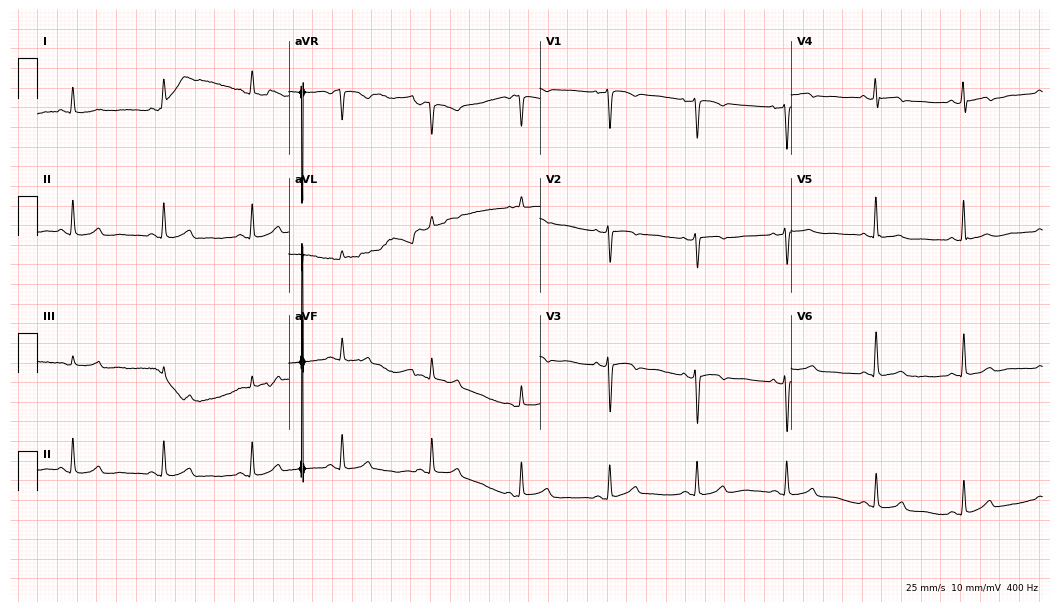
Electrocardiogram, a woman, 60 years old. Of the six screened findings (first-degree AV block, right bundle branch block (RBBB), left bundle branch block (LBBB), sinus bradycardia, atrial fibrillation (AF), sinus tachycardia), none is recorded. Findings outside these six are not listed.